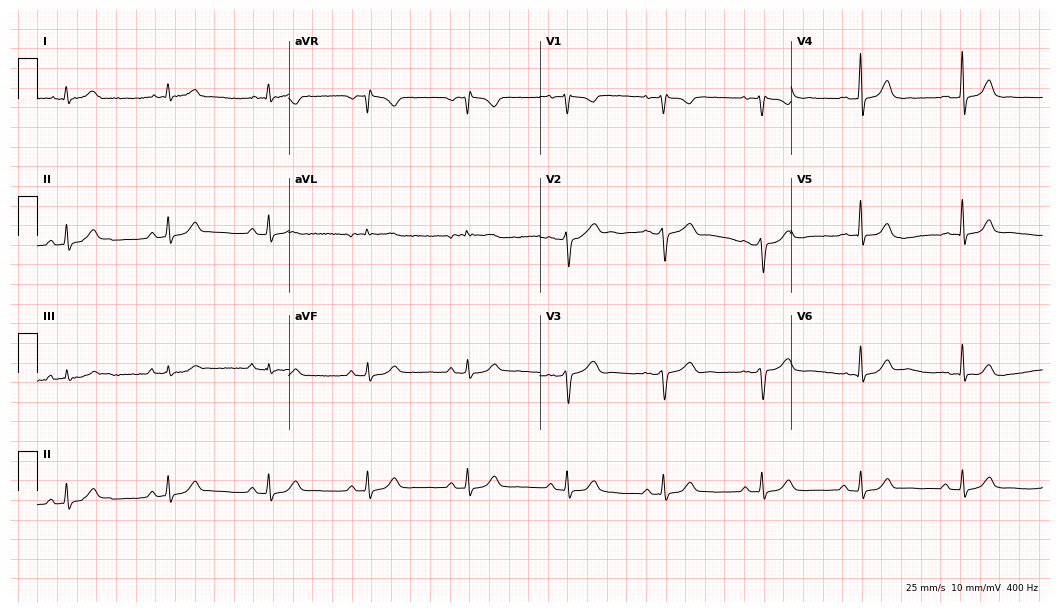
Electrocardiogram, a 45-year-old female. Of the six screened findings (first-degree AV block, right bundle branch block, left bundle branch block, sinus bradycardia, atrial fibrillation, sinus tachycardia), none is recorded. Findings outside these six are not listed.